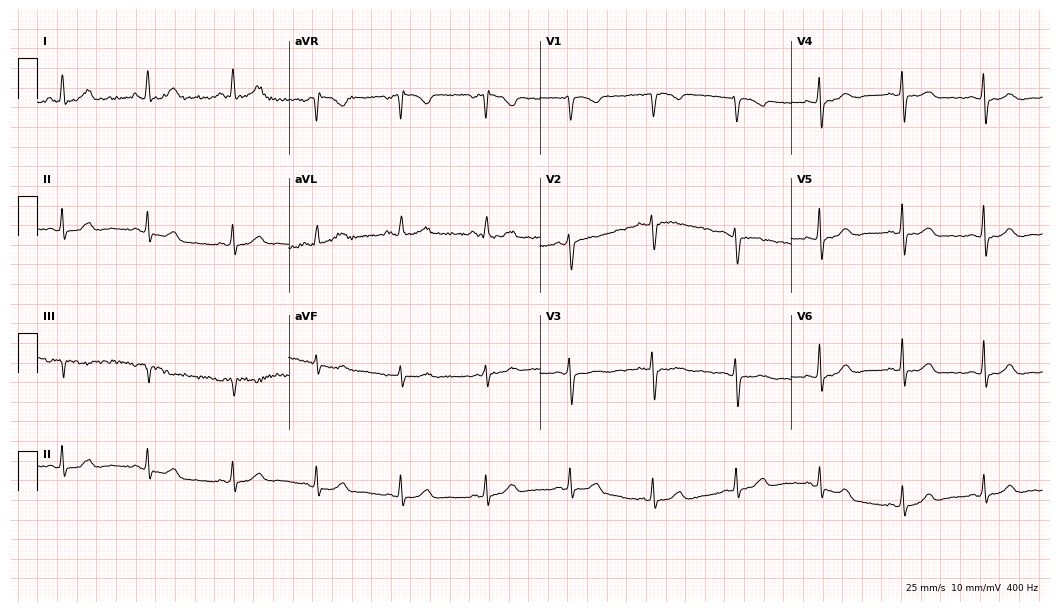
Electrocardiogram, a 46-year-old female. Overall reading on record: normal ECG.